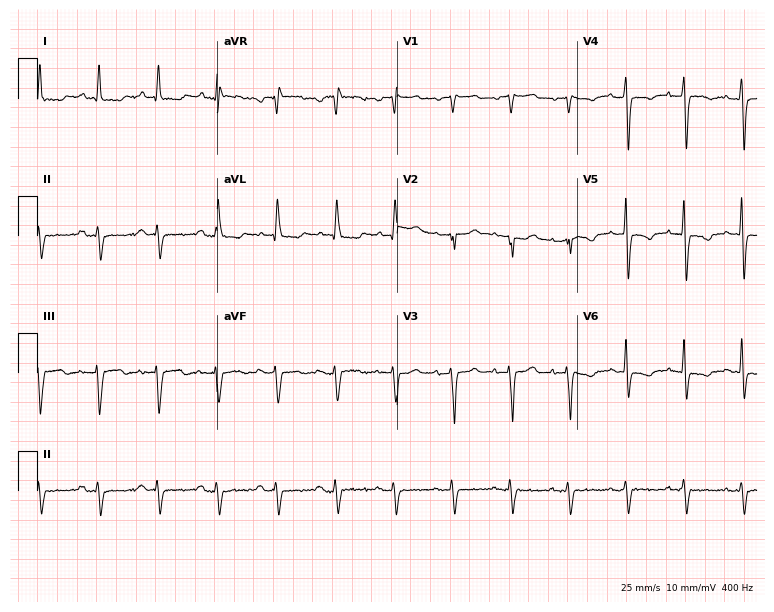
ECG (7.3-second recording at 400 Hz) — a man, 81 years old. Screened for six findings — first-degree AV block, right bundle branch block, left bundle branch block, sinus bradycardia, atrial fibrillation, sinus tachycardia — none is recorded. Findings outside these six are not listed.